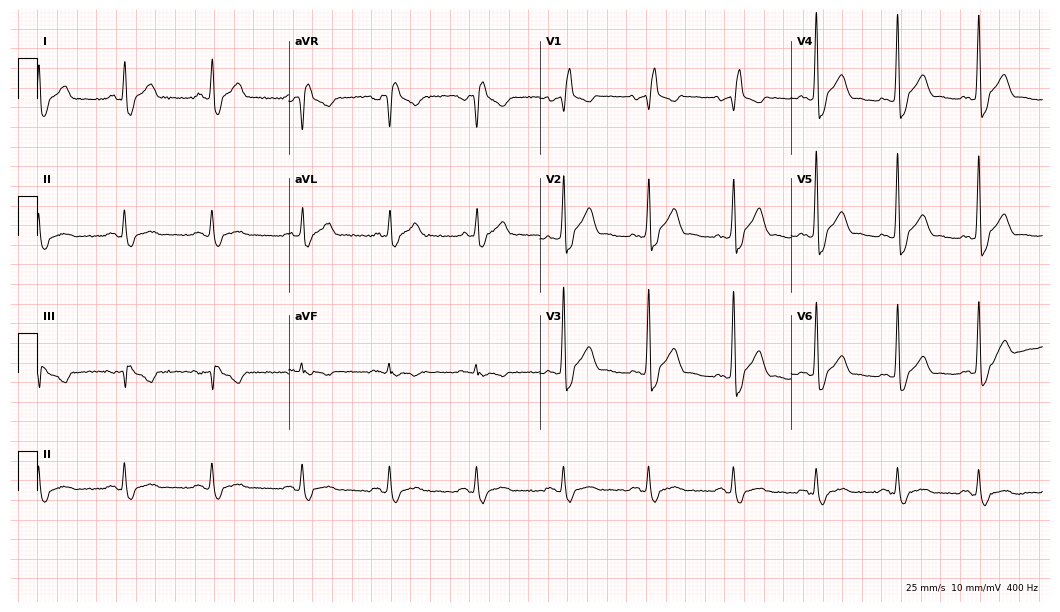
Resting 12-lead electrocardiogram (10.2-second recording at 400 Hz). Patient: a man, 62 years old. The tracing shows right bundle branch block.